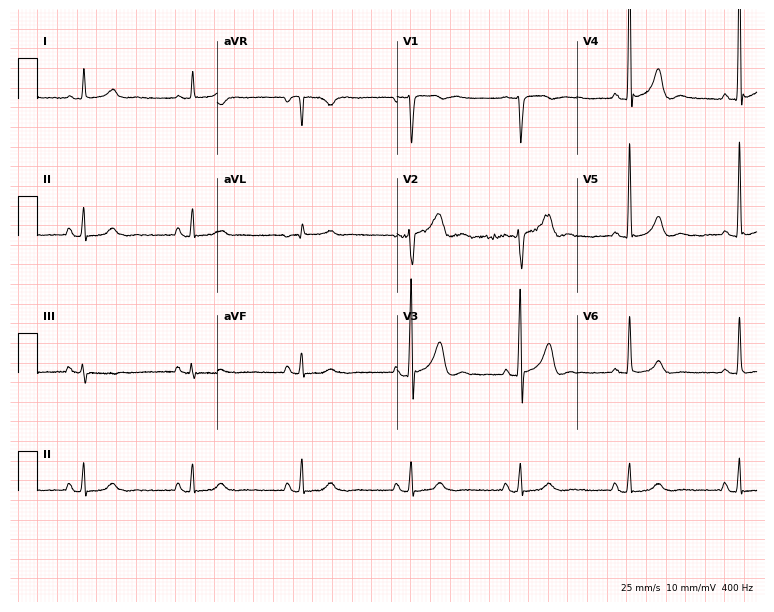
12-lead ECG (7.3-second recording at 400 Hz) from a male, 58 years old. Labelled as a normal ECG.